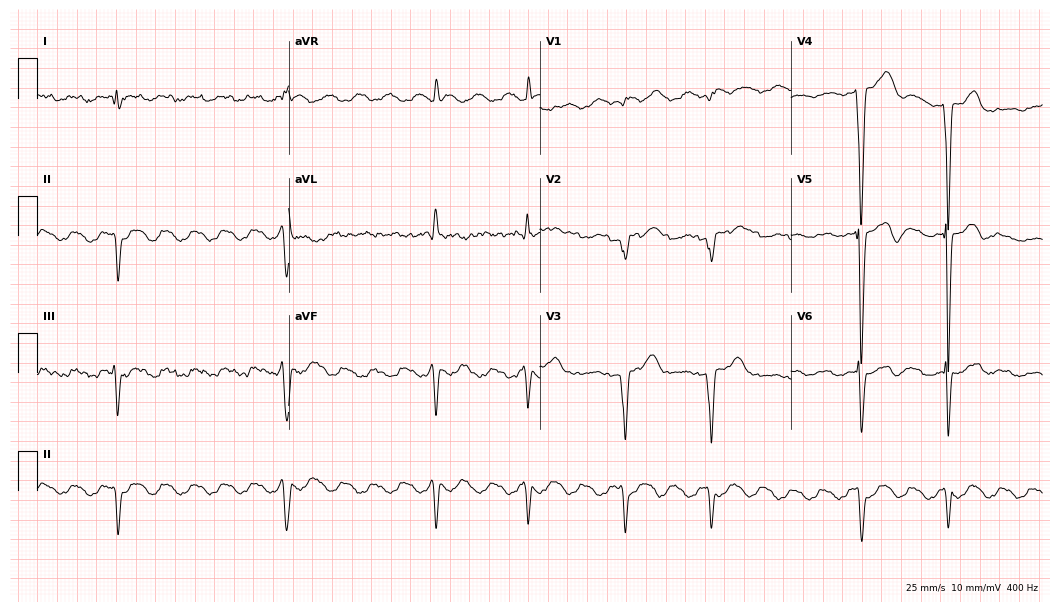
Resting 12-lead electrocardiogram (10.2-second recording at 400 Hz). Patient: a male, 53 years old. None of these six findings is recorded: first-degree AV block, right bundle branch block, left bundle branch block, sinus bradycardia, atrial fibrillation, sinus tachycardia.